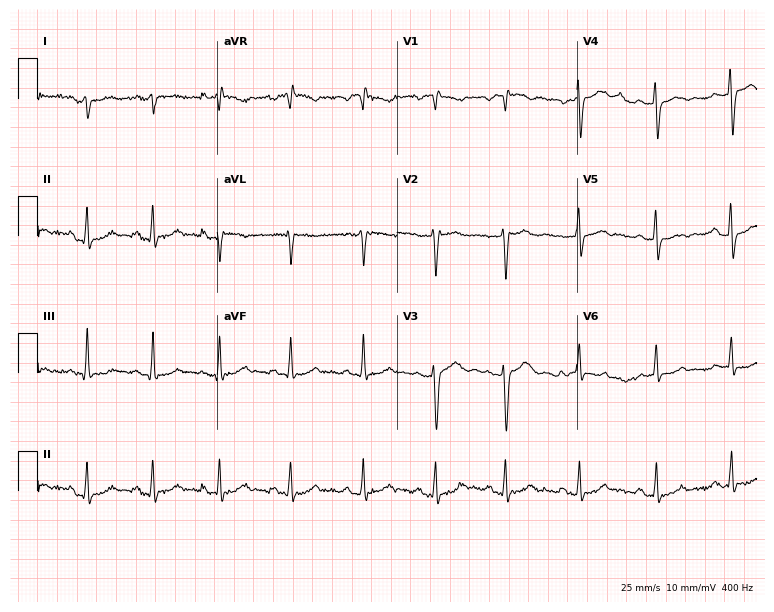
Resting 12-lead electrocardiogram. Patient: a female, 38 years old. None of these six findings is recorded: first-degree AV block, right bundle branch block, left bundle branch block, sinus bradycardia, atrial fibrillation, sinus tachycardia. Other findings, if any, are not listed.